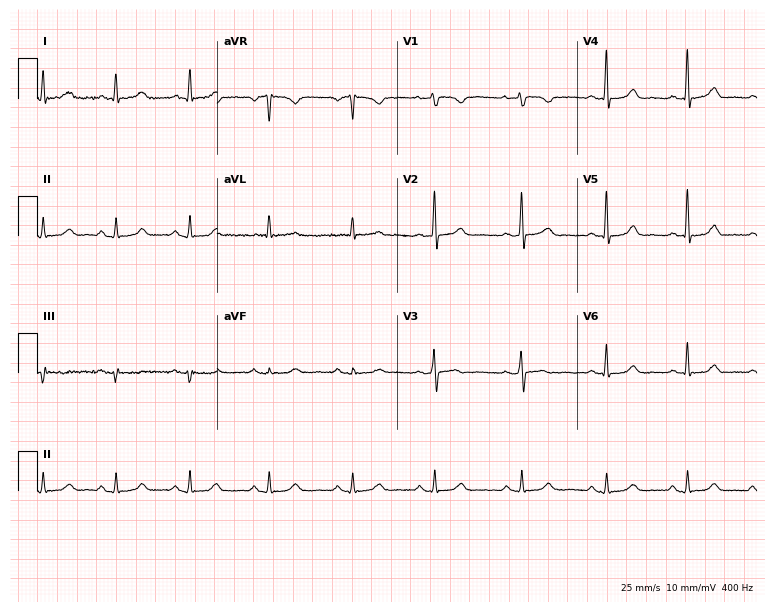
Electrocardiogram, a female patient, 50 years old. Overall reading on record: normal ECG.